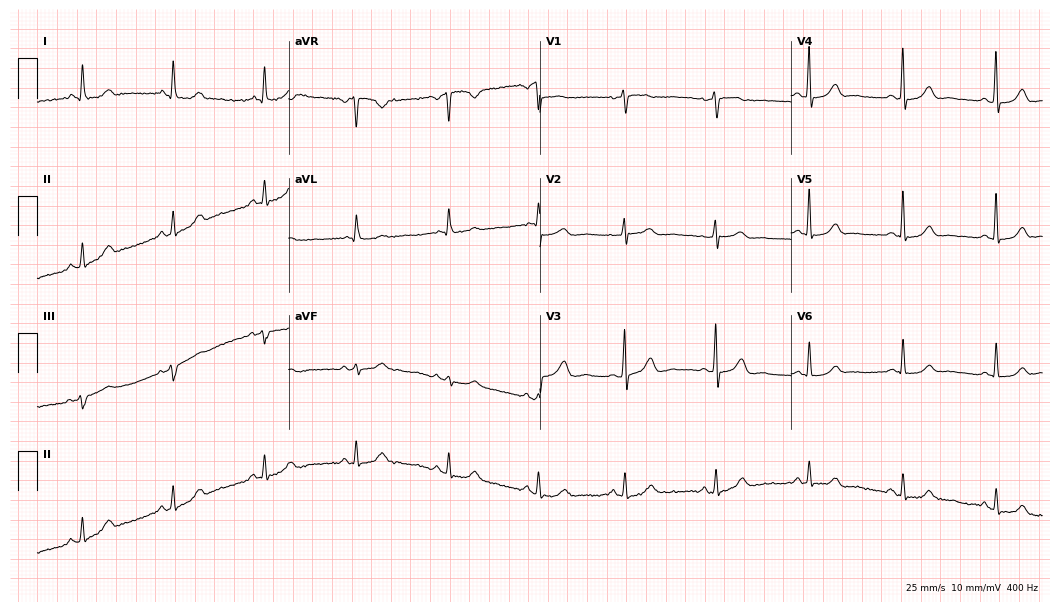
Electrocardiogram (10.2-second recording at 400 Hz), a woman, 50 years old. Of the six screened findings (first-degree AV block, right bundle branch block, left bundle branch block, sinus bradycardia, atrial fibrillation, sinus tachycardia), none is recorded. Other findings, if any, are not listed.